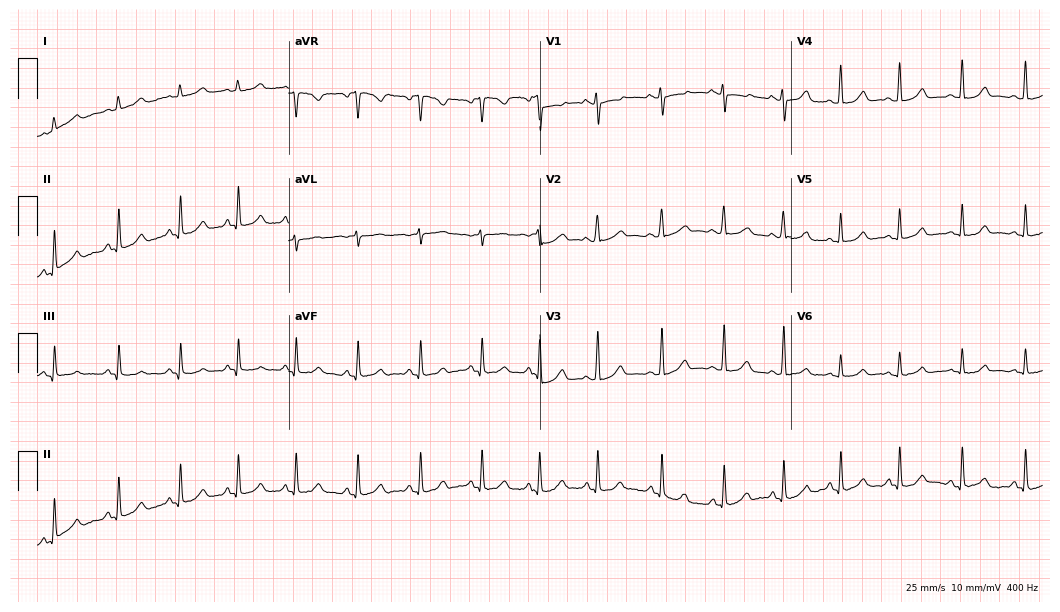
ECG (10.2-second recording at 400 Hz) — a 21-year-old female. Labelled as a normal ECG.